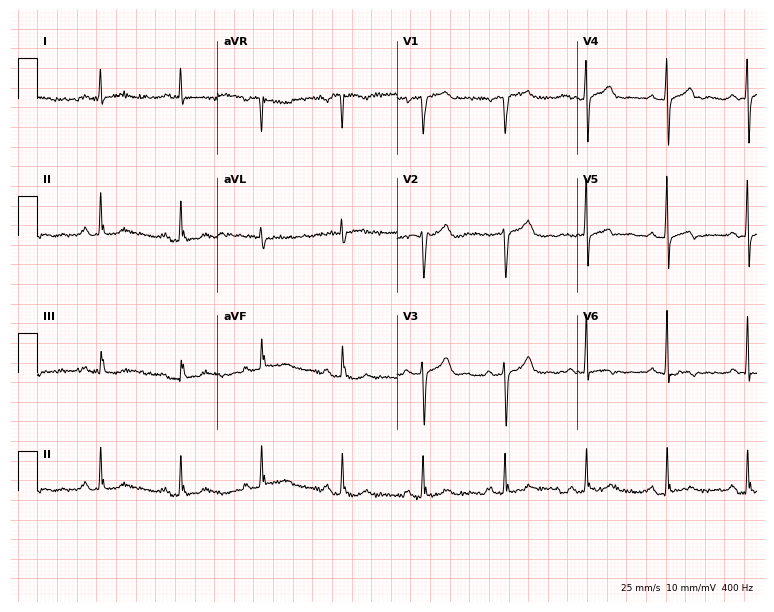
12-lead ECG from a female patient, 65 years old. No first-degree AV block, right bundle branch block (RBBB), left bundle branch block (LBBB), sinus bradycardia, atrial fibrillation (AF) or sinus tachycardia recorded for this tracing.